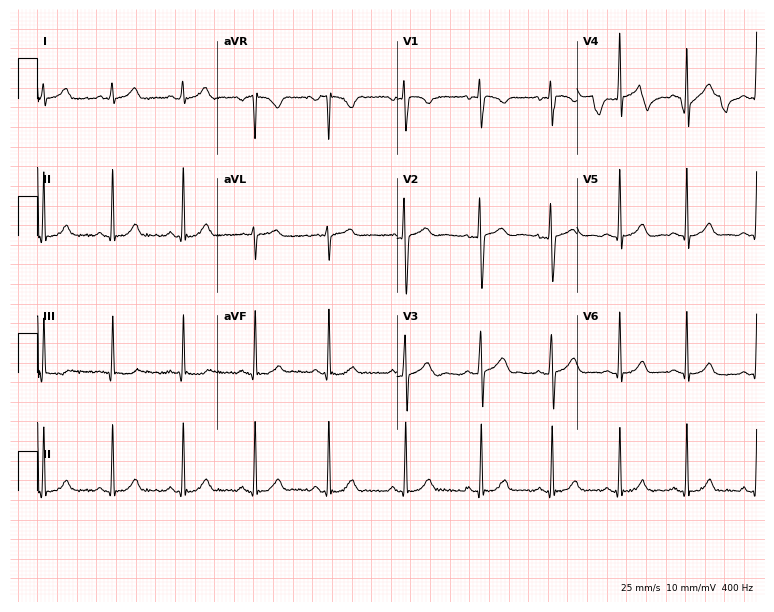
Resting 12-lead electrocardiogram. Patient: a 25-year-old woman. None of these six findings is recorded: first-degree AV block, right bundle branch block, left bundle branch block, sinus bradycardia, atrial fibrillation, sinus tachycardia.